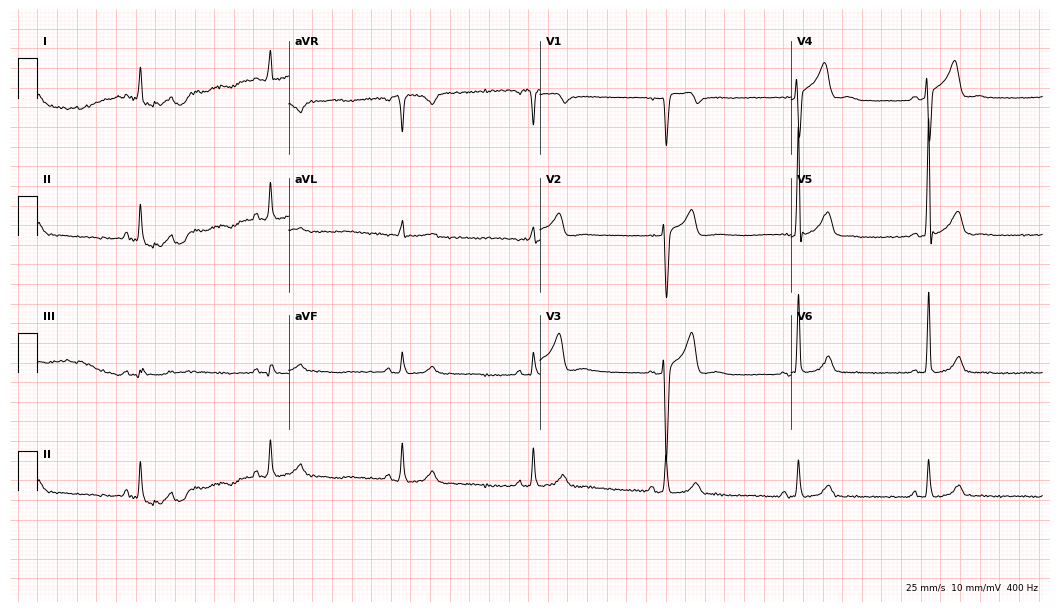
Standard 12-lead ECG recorded from a male, 46 years old. The tracing shows sinus bradycardia (a sinus rate of 50 beats per minute or less).